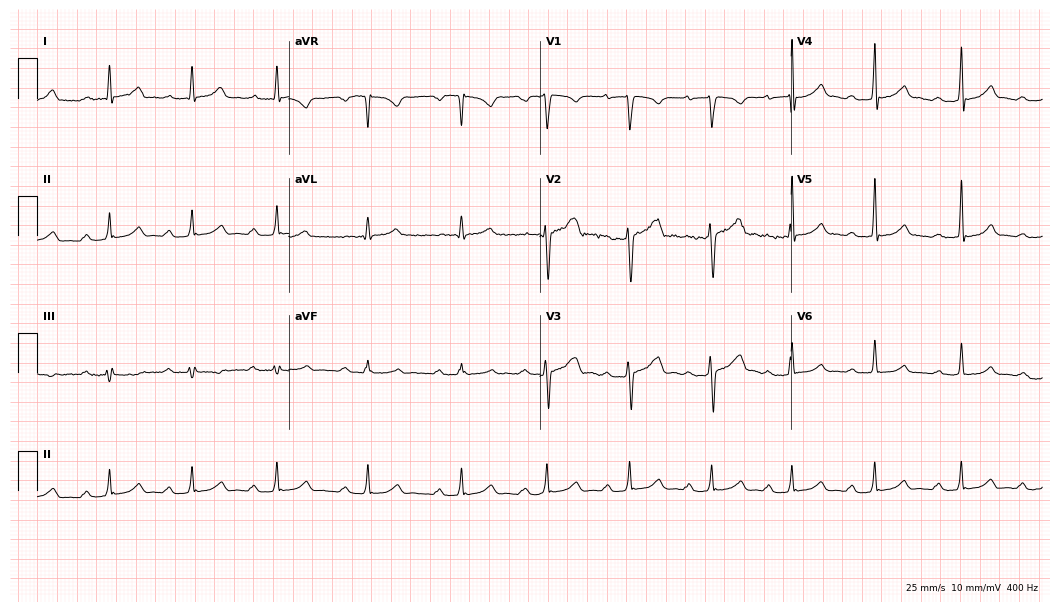
ECG (10.2-second recording at 400 Hz) — a male, 31 years old. Findings include first-degree AV block.